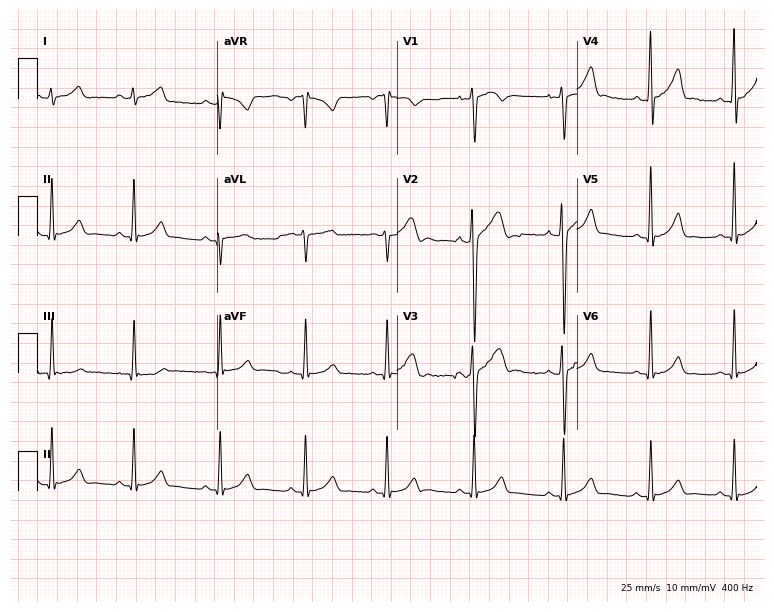
Resting 12-lead electrocardiogram (7.3-second recording at 400 Hz). Patient: a 17-year-old man. None of these six findings is recorded: first-degree AV block, right bundle branch block (RBBB), left bundle branch block (LBBB), sinus bradycardia, atrial fibrillation (AF), sinus tachycardia.